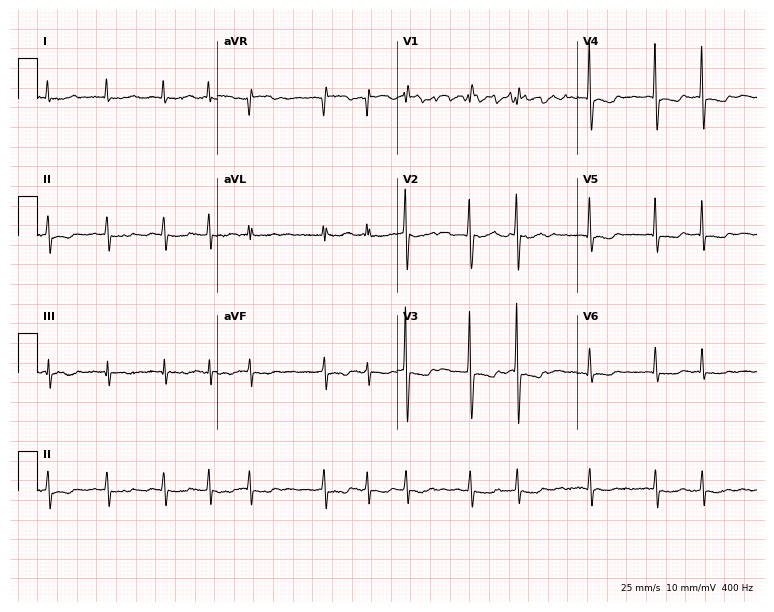
12-lead ECG from an 82-year-old female (7.3-second recording at 400 Hz). No first-degree AV block, right bundle branch block (RBBB), left bundle branch block (LBBB), sinus bradycardia, atrial fibrillation (AF) or sinus tachycardia recorded for this tracing. Findings outside these six are not listed.